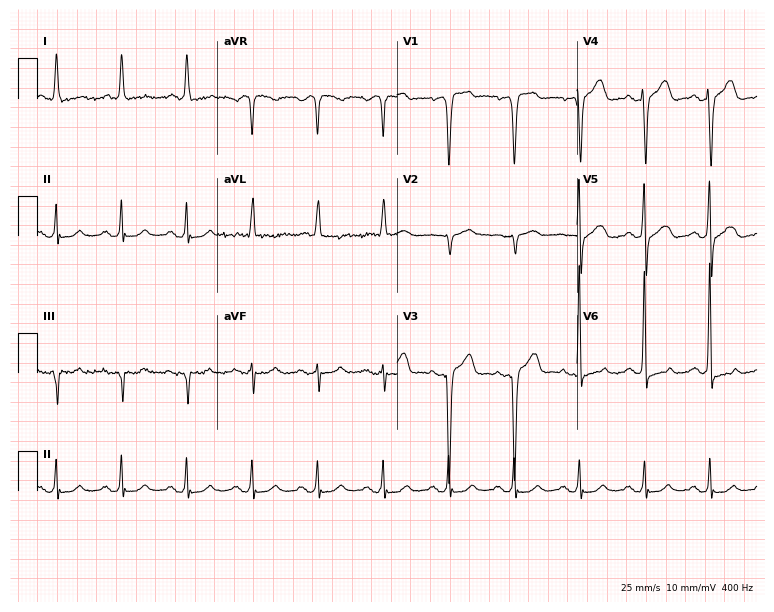
Electrocardiogram, an 80-year-old male. Of the six screened findings (first-degree AV block, right bundle branch block (RBBB), left bundle branch block (LBBB), sinus bradycardia, atrial fibrillation (AF), sinus tachycardia), none is recorded.